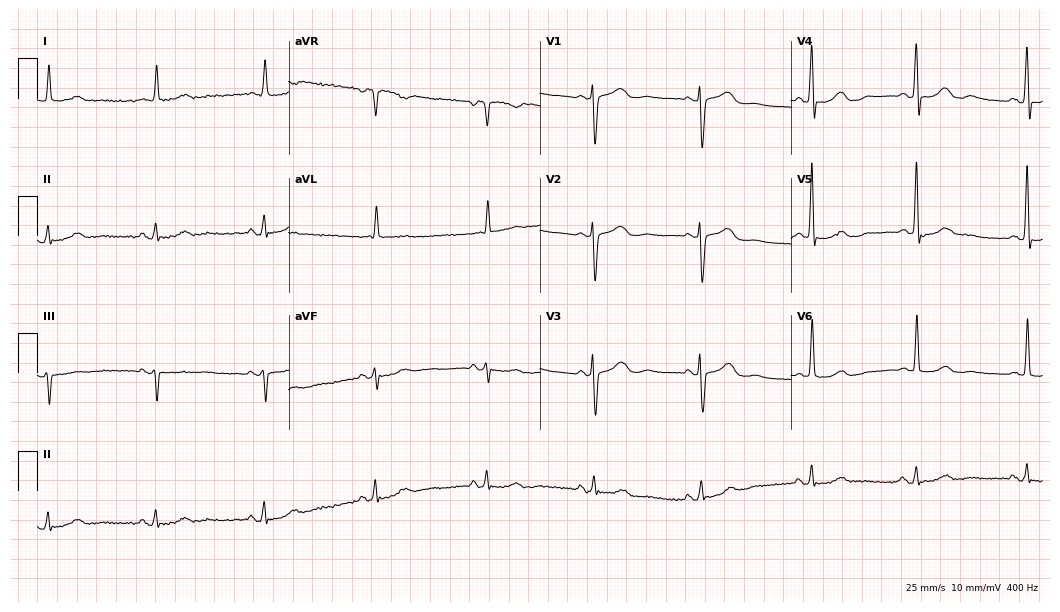
Standard 12-lead ECG recorded from a female patient, 75 years old (10.2-second recording at 400 Hz). None of these six findings is recorded: first-degree AV block, right bundle branch block, left bundle branch block, sinus bradycardia, atrial fibrillation, sinus tachycardia.